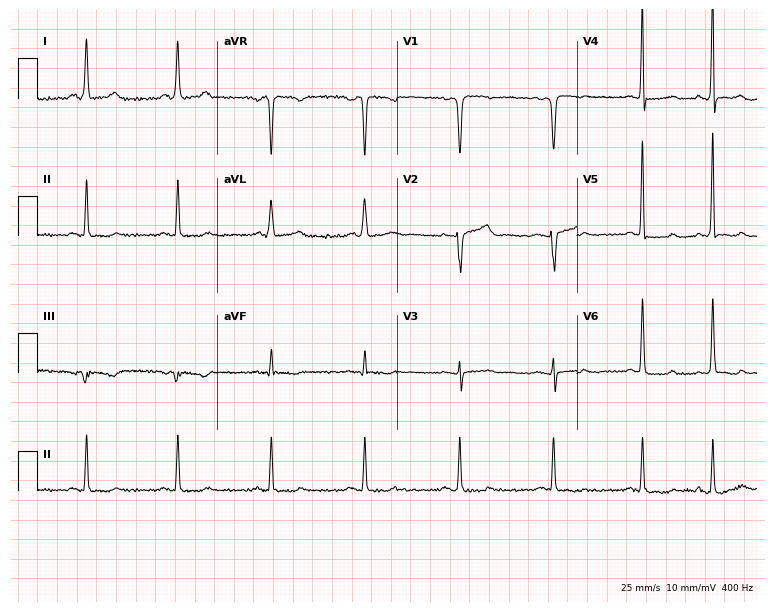
Resting 12-lead electrocardiogram. Patient: a woman, 52 years old. None of these six findings is recorded: first-degree AV block, right bundle branch block, left bundle branch block, sinus bradycardia, atrial fibrillation, sinus tachycardia. Findings outside these six are not listed.